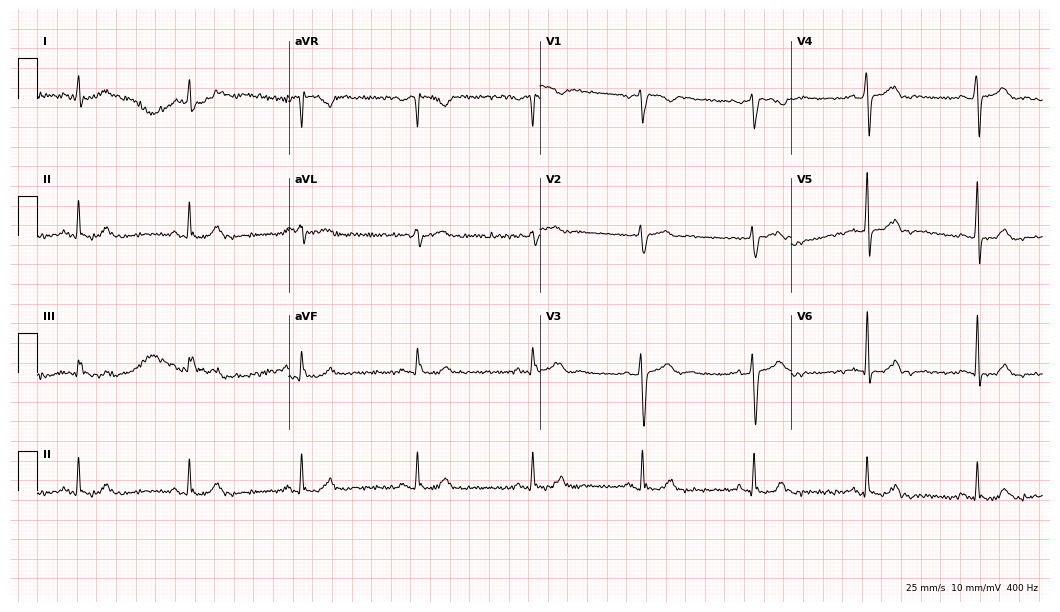
ECG (10.2-second recording at 400 Hz) — a male, 47 years old. Labelled as a normal ECG.